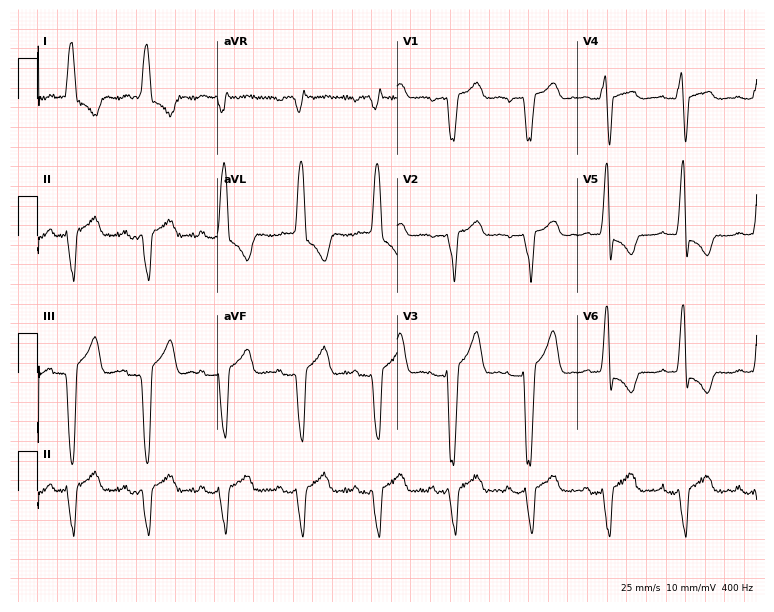
ECG — an 83-year-old female. Findings include left bundle branch block.